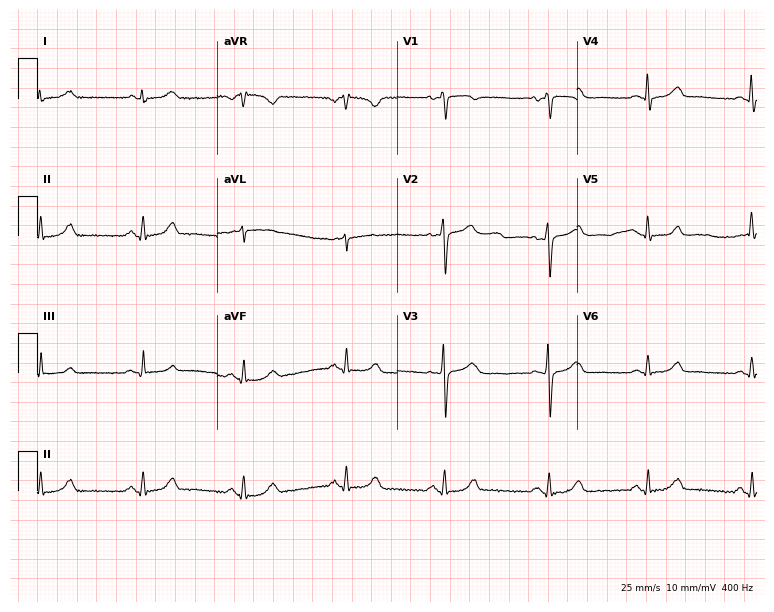
Electrocardiogram, a female patient, 44 years old. Overall reading on record: normal ECG.